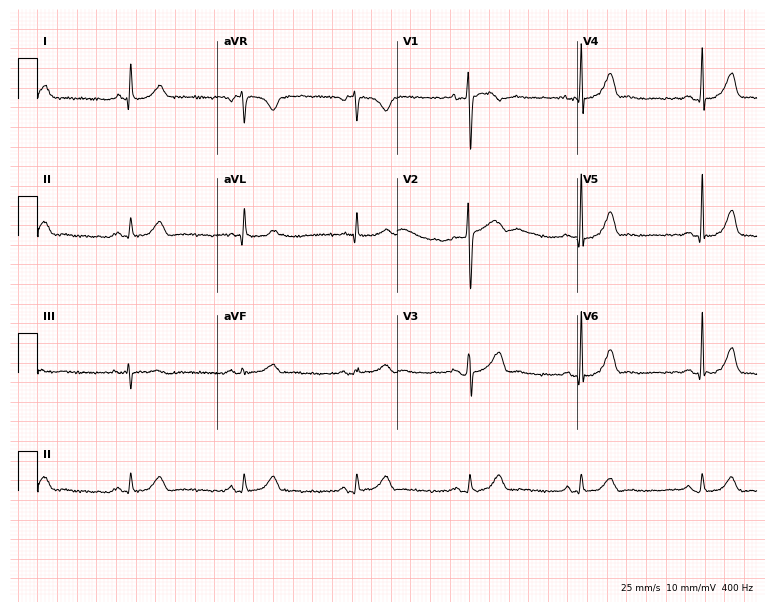
Electrocardiogram (7.3-second recording at 400 Hz), a 34-year-old female. Overall reading on record: normal ECG.